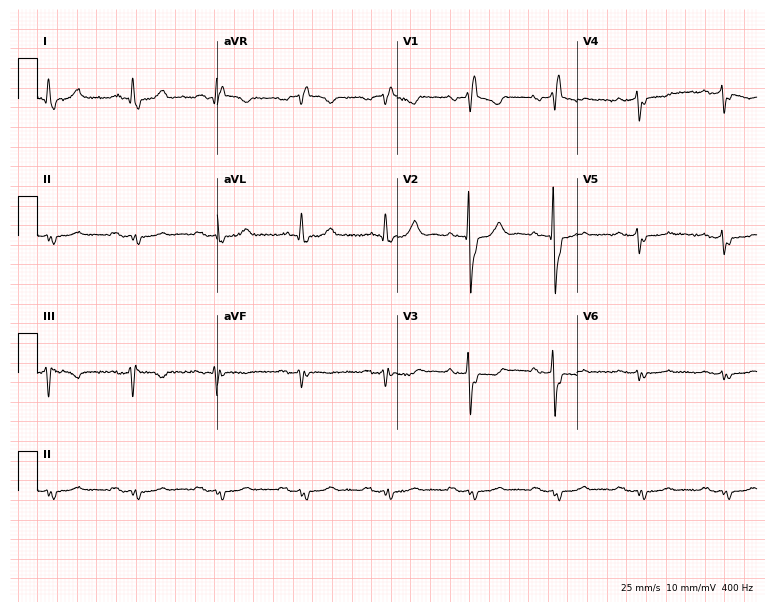
Standard 12-lead ECG recorded from a male patient, 81 years old (7.3-second recording at 400 Hz). The tracing shows right bundle branch block.